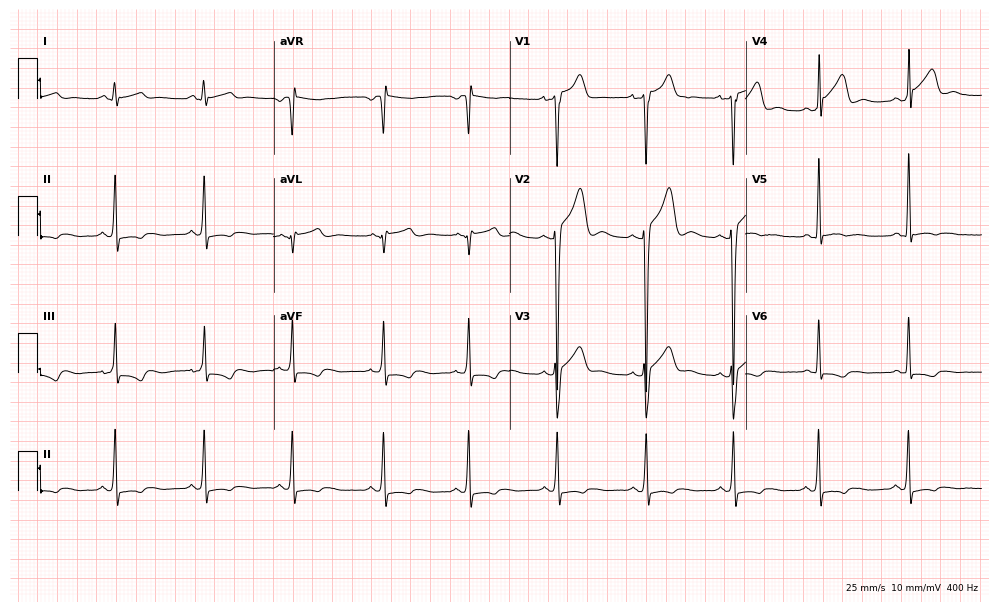
12-lead ECG (9.6-second recording at 400 Hz) from a 20-year-old man. Screened for six findings — first-degree AV block, right bundle branch block, left bundle branch block, sinus bradycardia, atrial fibrillation, sinus tachycardia — none is recorded. Other findings, if any, are not listed.